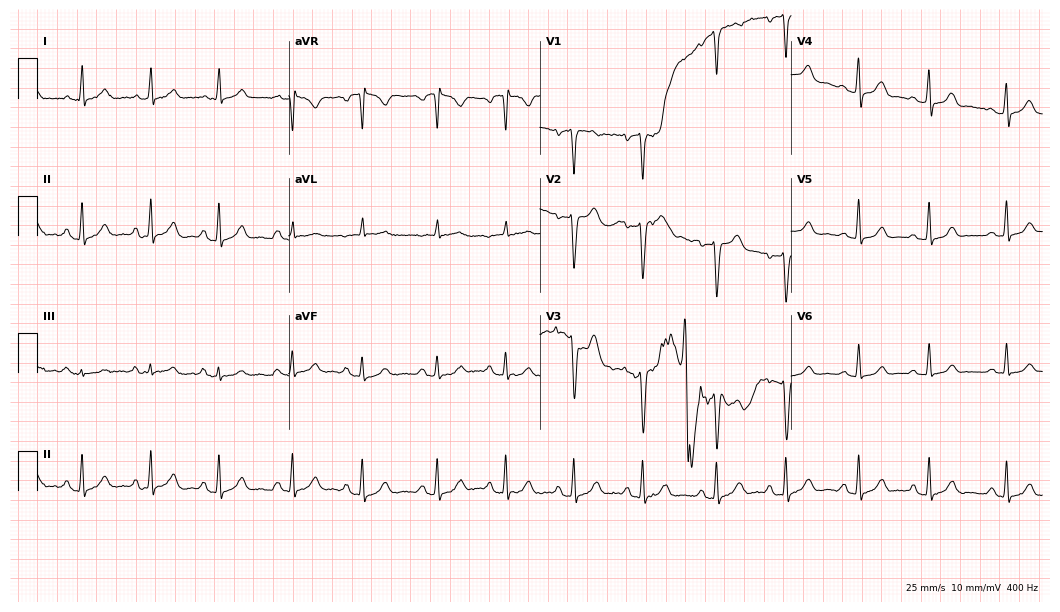
Resting 12-lead electrocardiogram (10.2-second recording at 400 Hz). Patient: a woman, 35 years old. None of these six findings is recorded: first-degree AV block, right bundle branch block, left bundle branch block, sinus bradycardia, atrial fibrillation, sinus tachycardia.